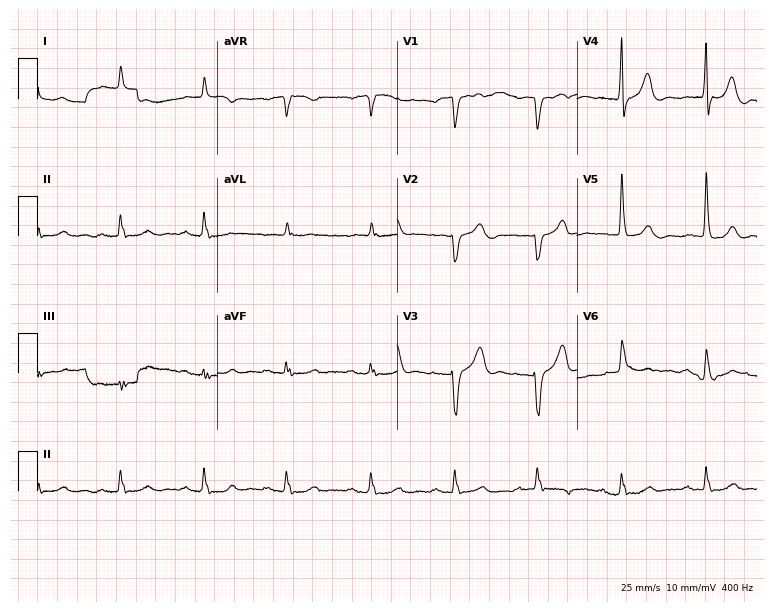
12-lead ECG from a male patient, 80 years old (7.3-second recording at 400 Hz). No first-degree AV block, right bundle branch block (RBBB), left bundle branch block (LBBB), sinus bradycardia, atrial fibrillation (AF) or sinus tachycardia recorded for this tracing.